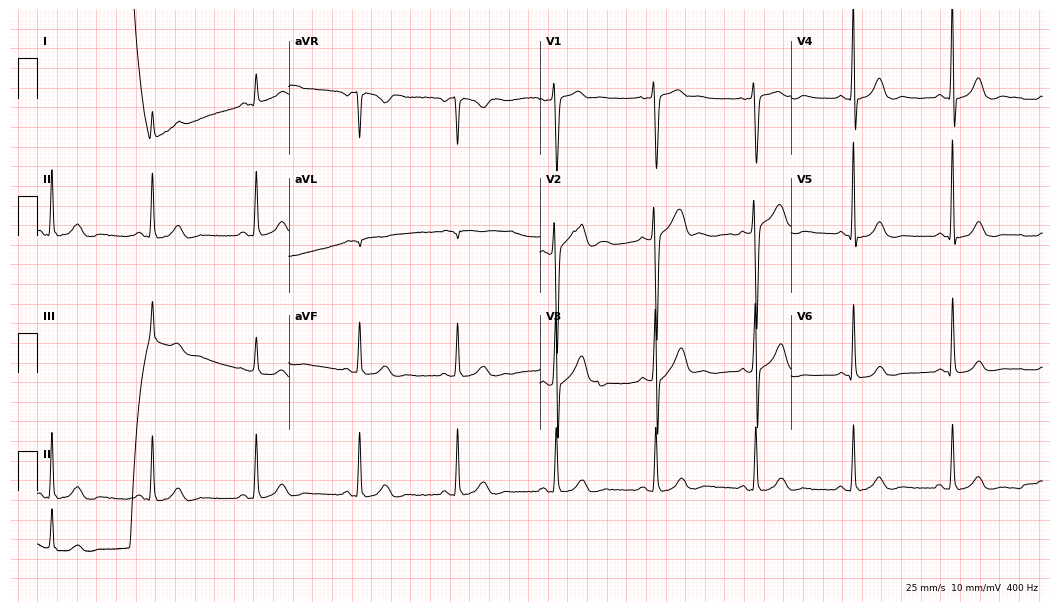
12-lead ECG from a 40-year-old male. No first-degree AV block, right bundle branch block (RBBB), left bundle branch block (LBBB), sinus bradycardia, atrial fibrillation (AF) or sinus tachycardia recorded for this tracing. Only these six findings were labelled.